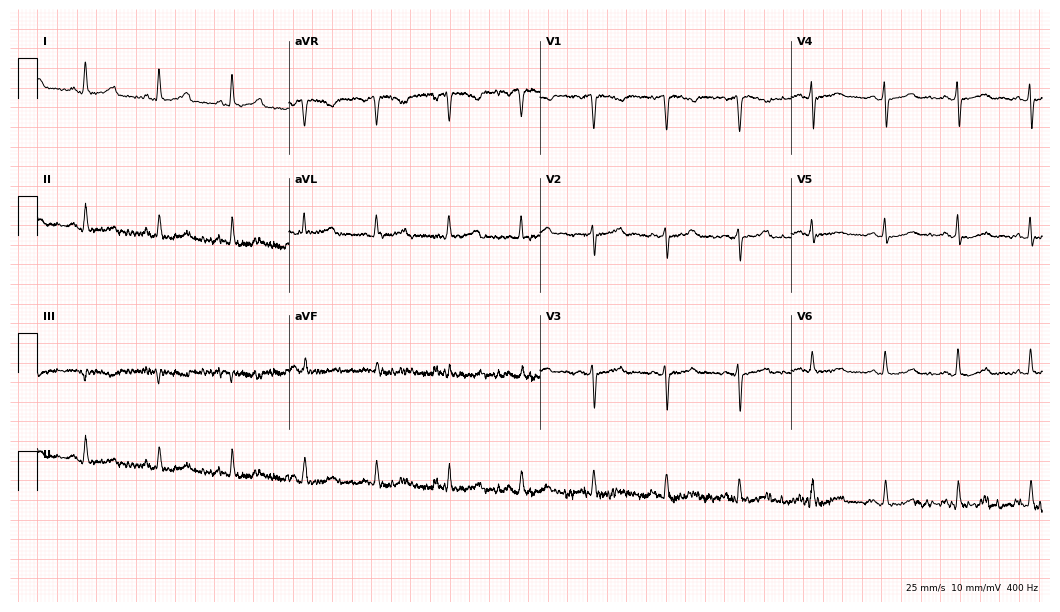
ECG — a 47-year-old woman. Labelled as a normal ECG.